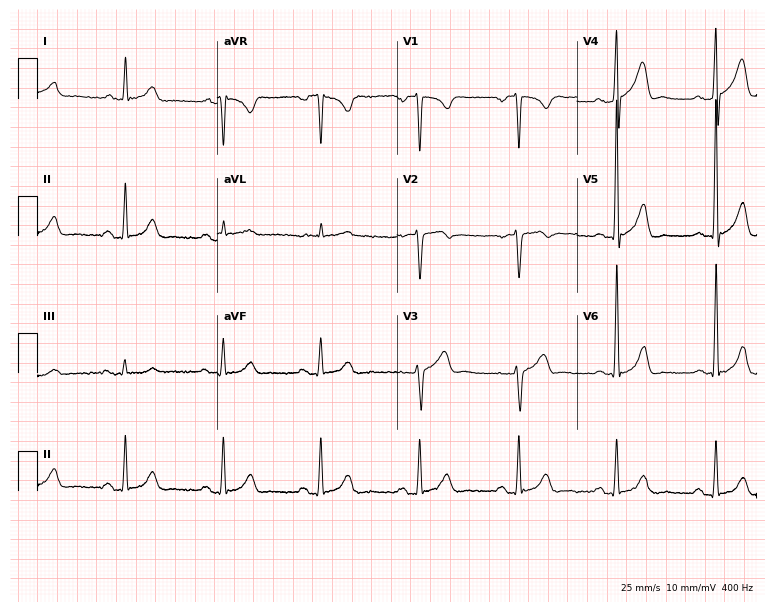
ECG (7.3-second recording at 400 Hz) — a 62-year-old man. Screened for six findings — first-degree AV block, right bundle branch block, left bundle branch block, sinus bradycardia, atrial fibrillation, sinus tachycardia — none is recorded. Only these six findings were labelled.